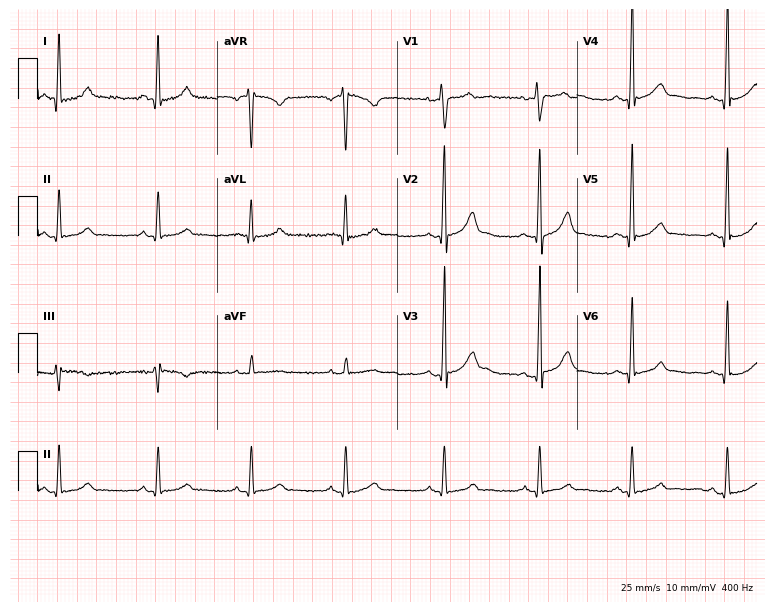
12-lead ECG (7.3-second recording at 400 Hz) from a male, 42 years old. Screened for six findings — first-degree AV block, right bundle branch block, left bundle branch block, sinus bradycardia, atrial fibrillation, sinus tachycardia — none is recorded.